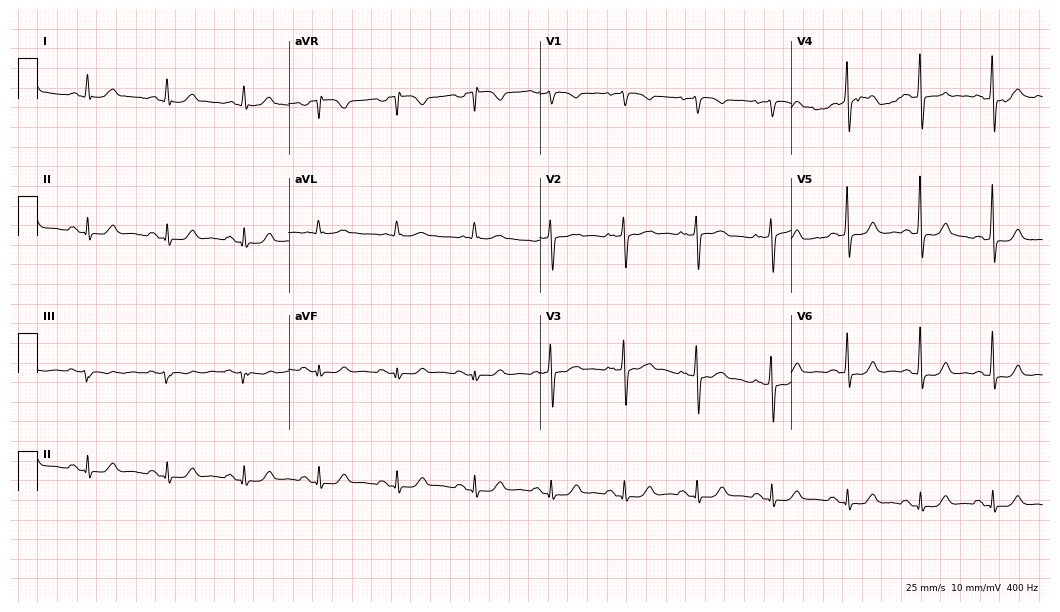
Resting 12-lead electrocardiogram. Patient: a 47-year-old female. Read as a normal ECG.